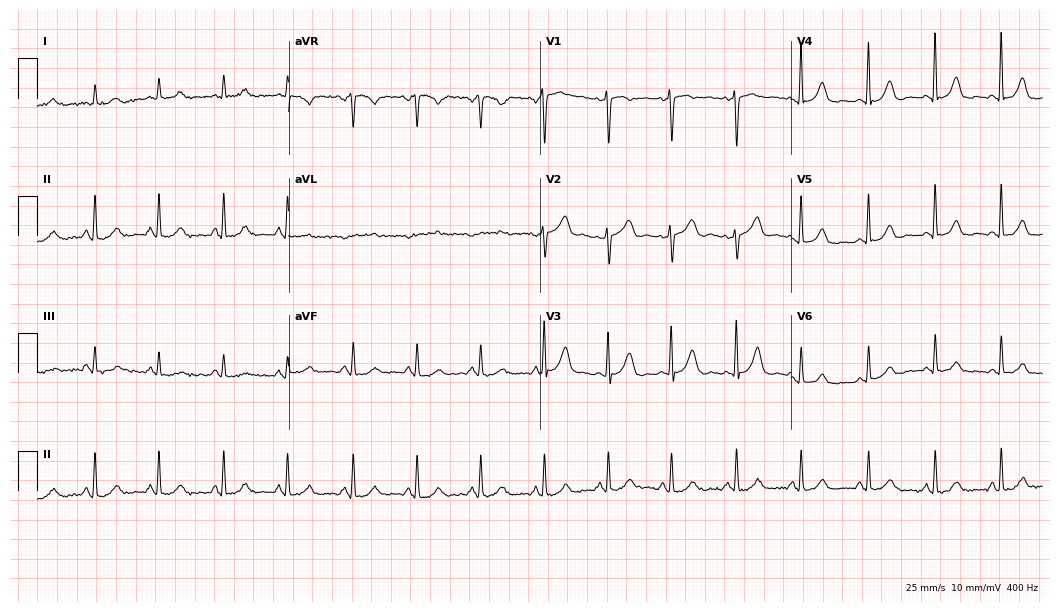
12-lead ECG from a 36-year-old female patient. Recorded interpretation: within normal limits.